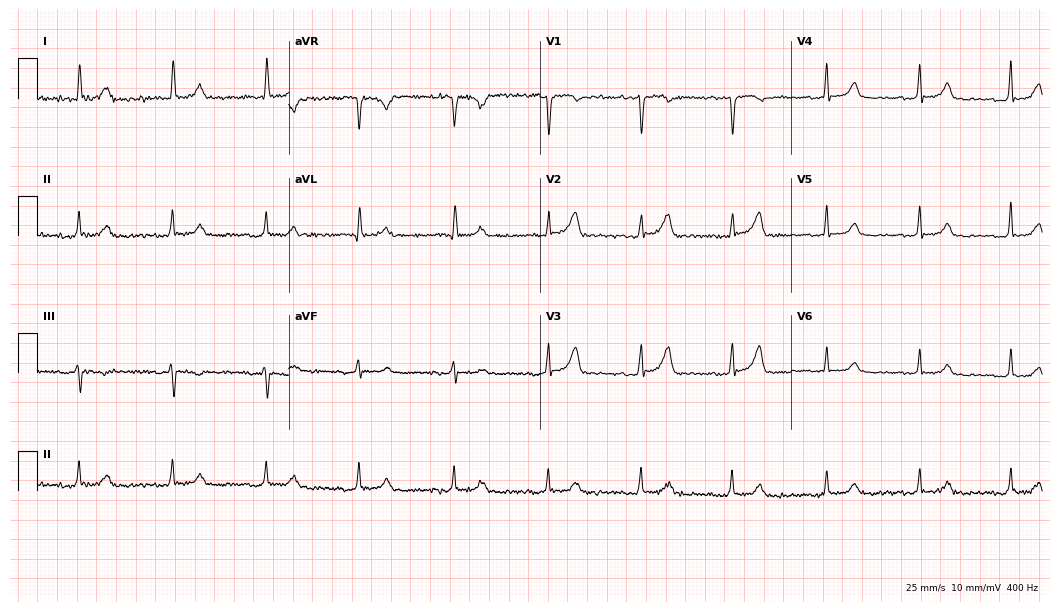
ECG — a 72-year-old female. Labelled as a normal ECG.